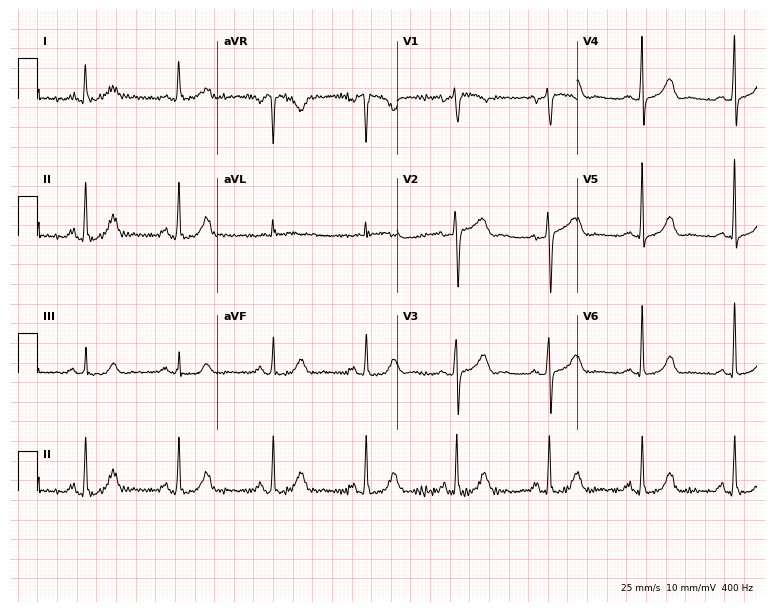
Resting 12-lead electrocardiogram (7.3-second recording at 400 Hz). Patient: a 67-year-old female. None of these six findings is recorded: first-degree AV block, right bundle branch block (RBBB), left bundle branch block (LBBB), sinus bradycardia, atrial fibrillation (AF), sinus tachycardia.